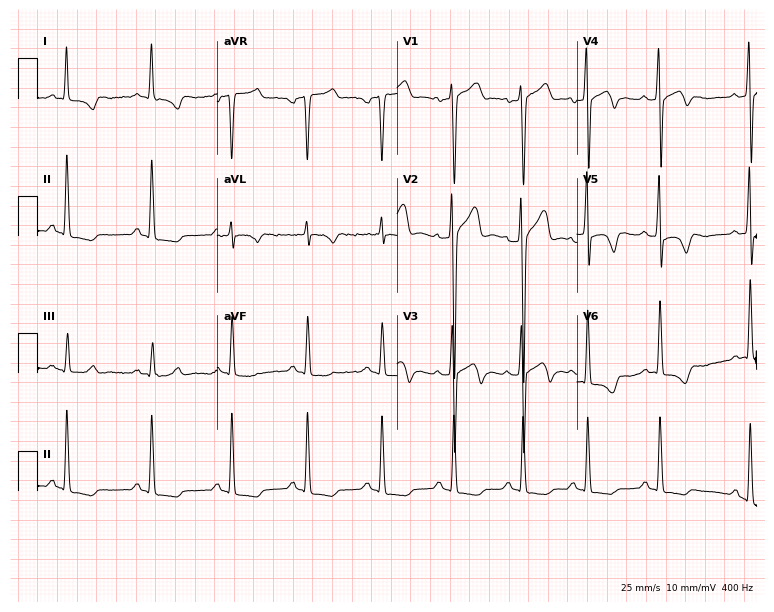
Resting 12-lead electrocardiogram (7.3-second recording at 400 Hz). Patient: a man, 28 years old. None of these six findings is recorded: first-degree AV block, right bundle branch block, left bundle branch block, sinus bradycardia, atrial fibrillation, sinus tachycardia. Findings outside these six are not listed.